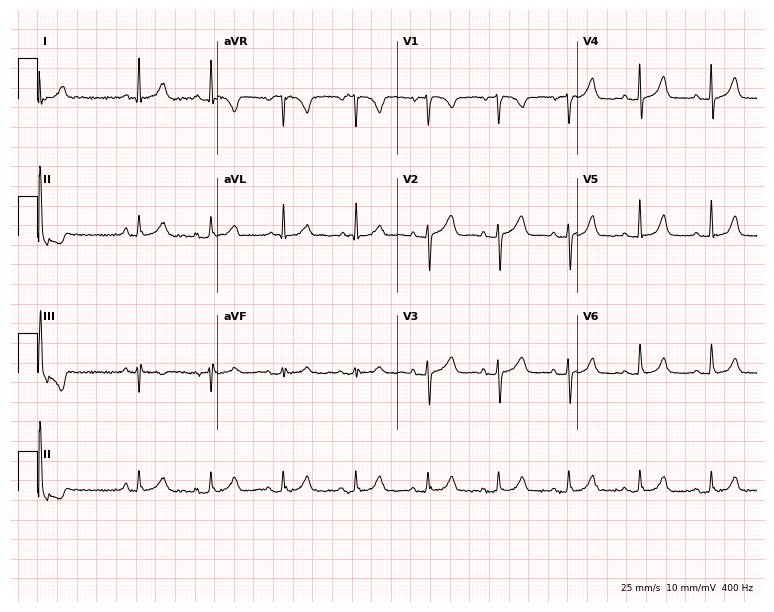
12-lead ECG from a 79-year-old female patient. No first-degree AV block, right bundle branch block, left bundle branch block, sinus bradycardia, atrial fibrillation or sinus tachycardia recorded for this tracing. Findings outside these six are not listed.